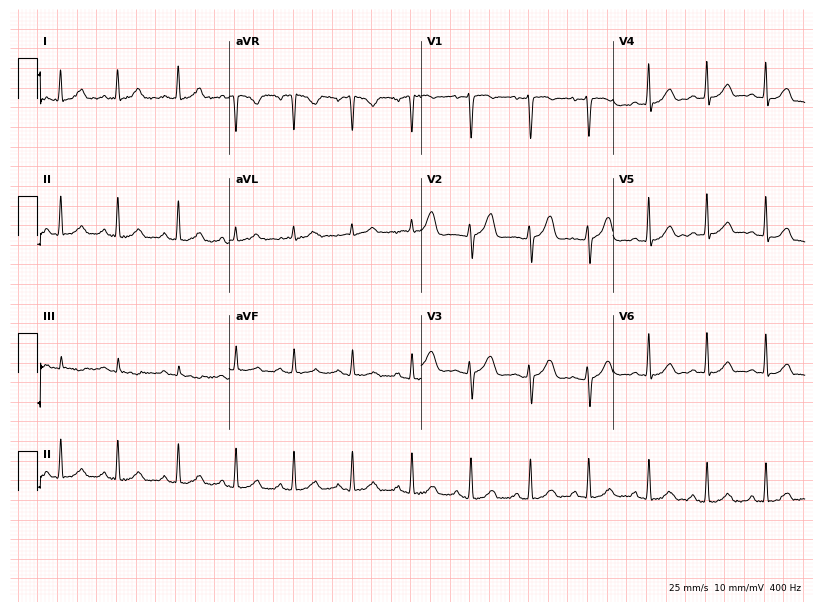
12-lead ECG from a 42-year-old woman. Labelled as a normal ECG.